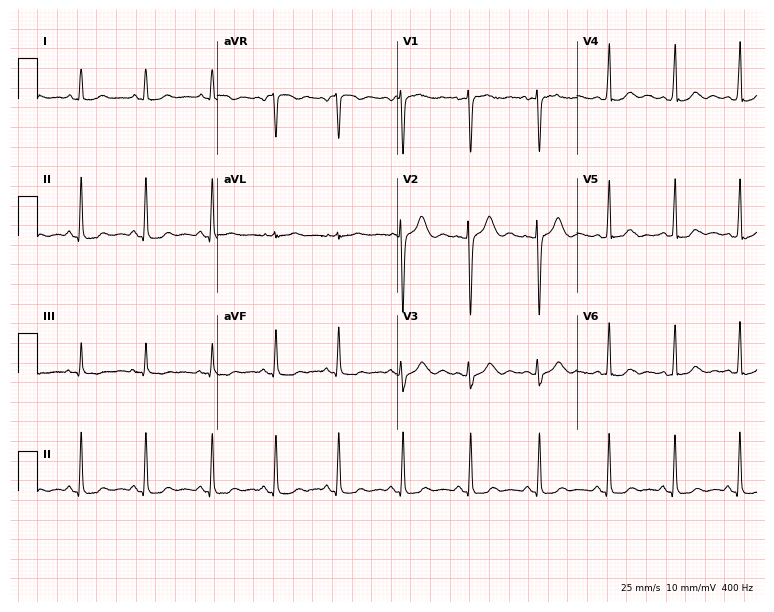
12-lead ECG from a 20-year-old woman. Recorded interpretation: within normal limits.